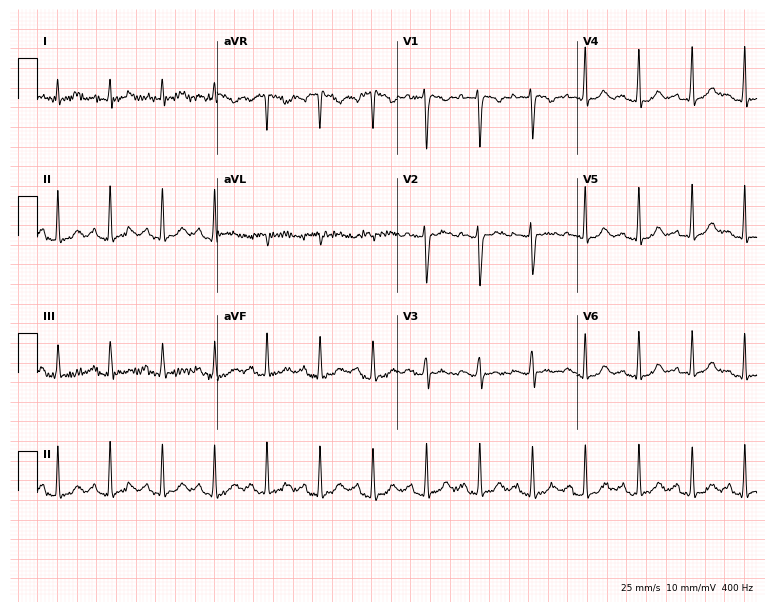
ECG (7.3-second recording at 400 Hz) — a 20-year-old woman. Screened for six findings — first-degree AV block, right bundle branch block (RBBB), left bundle branch block (LBBB), sinus bradycardia, atrial fibrillation (AF), sinus tachycardia — none is recorded. Other findings, if any, are not listed.